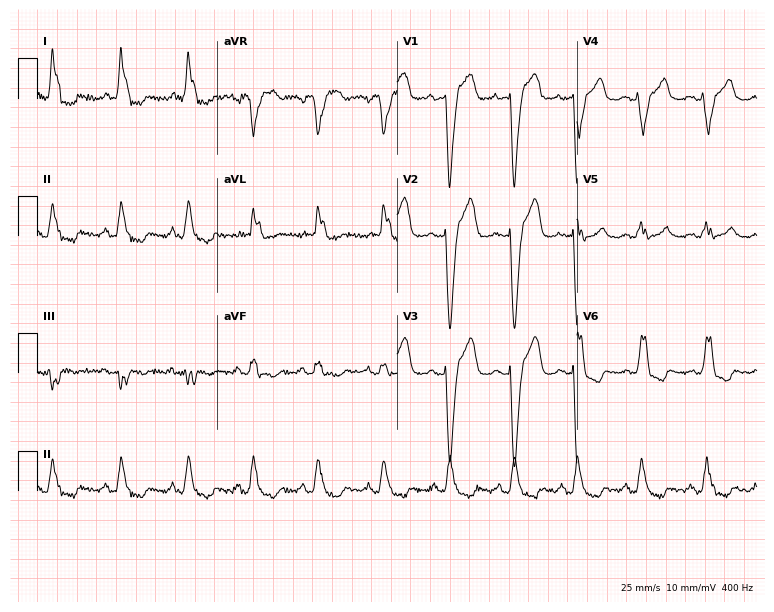
ECG (7.3-second recording at 400 Hz) — a 60-year-old female patient. Findings include left bundle branch block (LBBB).